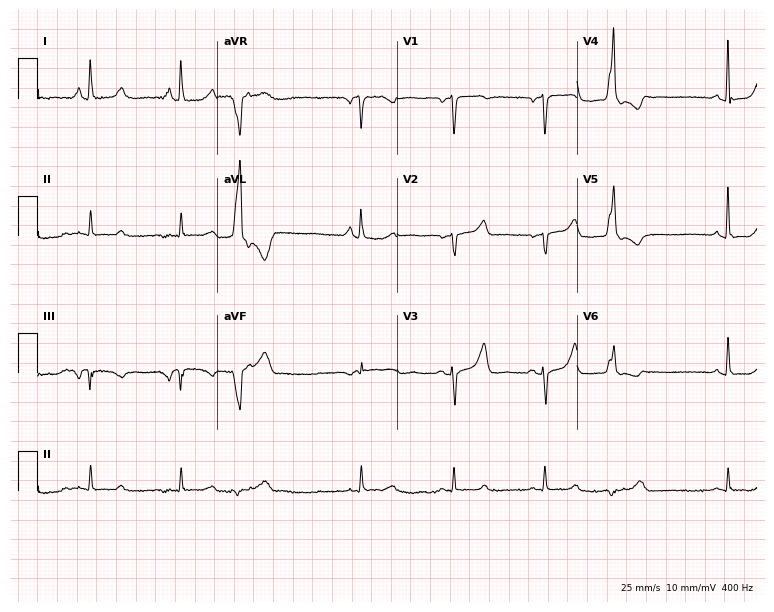
Resting 12-lead electrocardiogram (7.3-second recording at 400 Hz). Patient: an 80-year-old woman. None of these six findings is recorded: first-degree AV block, right bundle branch block, left bundle branch block, sinus bradycardia, atrial fibrillation, sinus tachycardia.